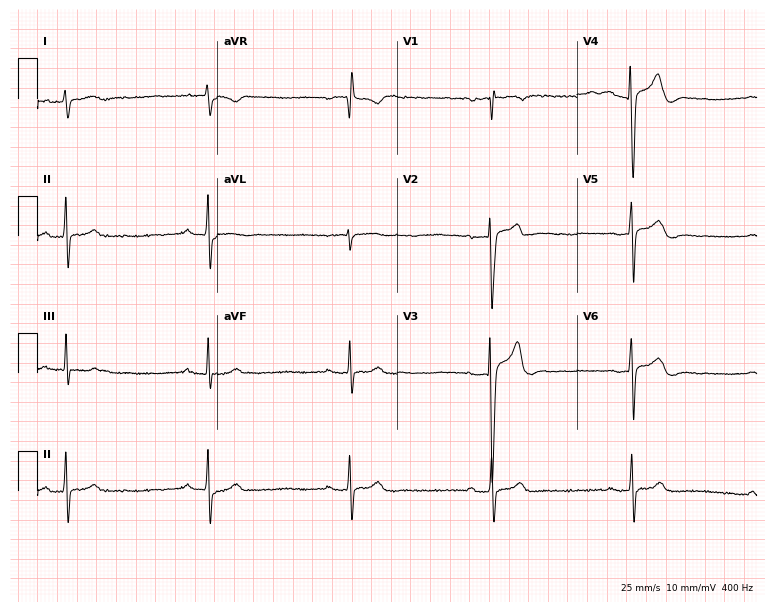
Standard 12-lead ECG recorded from a 23-year-old female. None of these six findings is recorded: first-degree AV block, right bundle branch block, left bundle branch block, sinus bradycardia, atrial fibrillation, sinus tachycardia. Other findings, if any, are not listed.